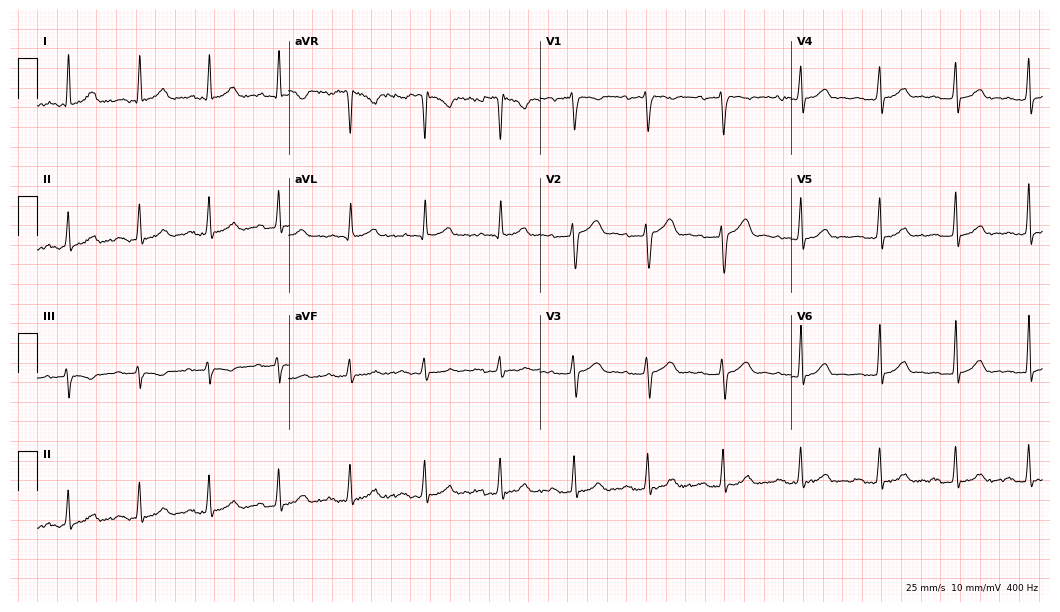
Electrocardiogram (10.2-second recording at 400 Hz), a 37-year-old male. Overall reading on record: normal ECG.